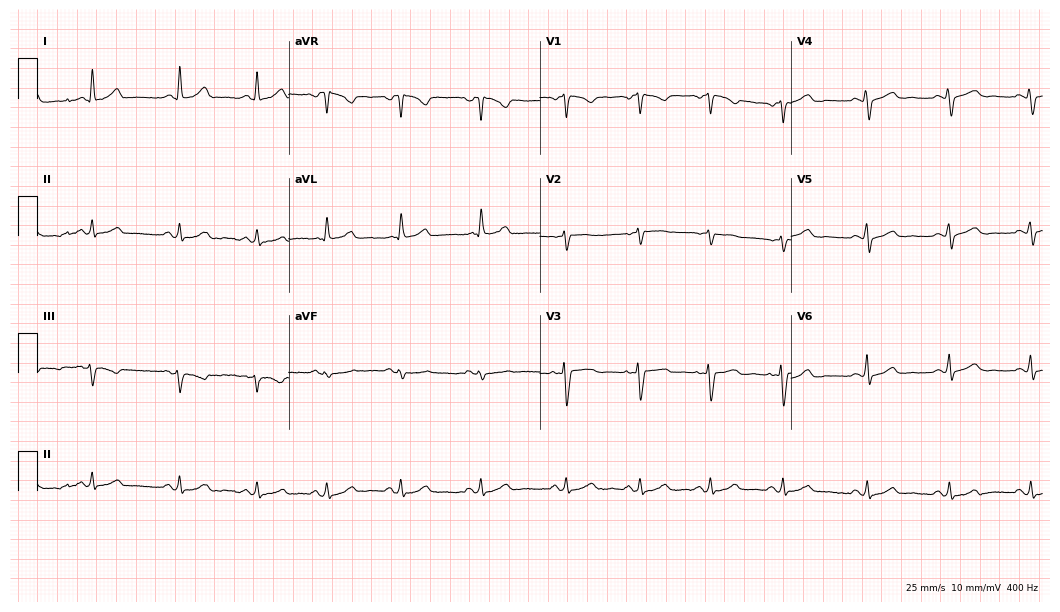
12-lead ECG from a 55-year-old female. Screened for six findings — first-degree AV block, right bundle branch block (RBBB), left bundle branch block (LBBB), sinus bradycardia, atrial fibrillation (AF), sinus tachycardia — none is recorded. Other findings, if any, are not listed.